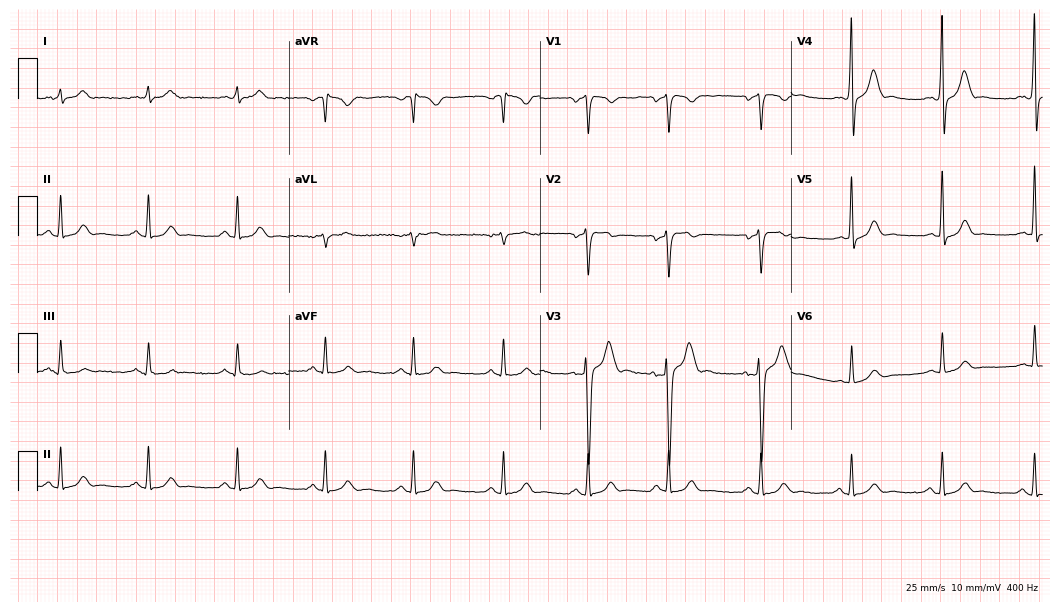
ECG (10.2-second recording at 400 Hz) — a female patient, 33 years old. Labelled as a normal ECG.